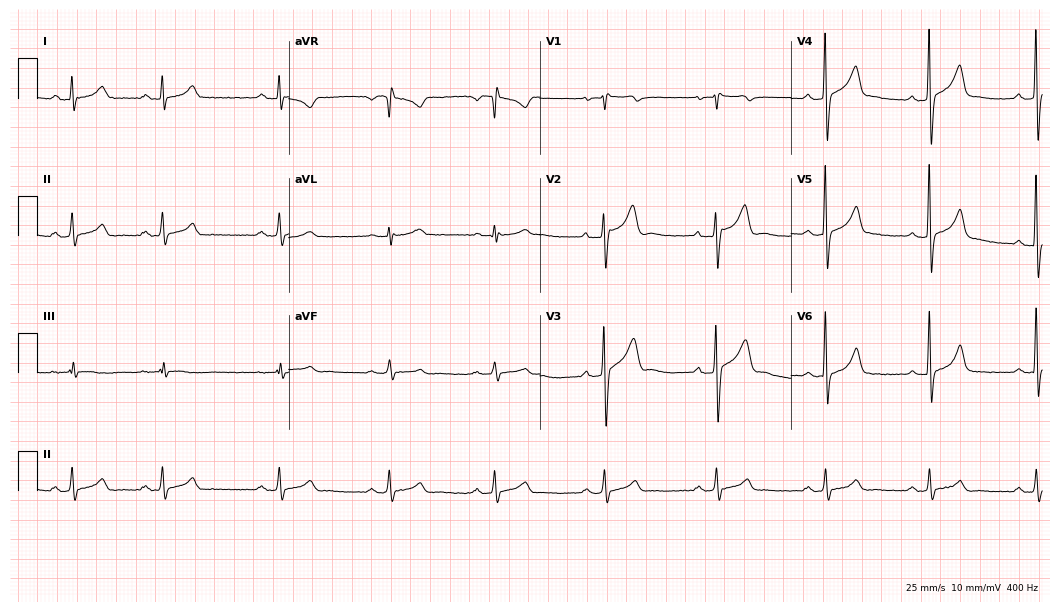
Electrocardiogram (10.2-second recording at 400 Hz), a male patient, 46 years old. Overall reading on record: normal ECG.